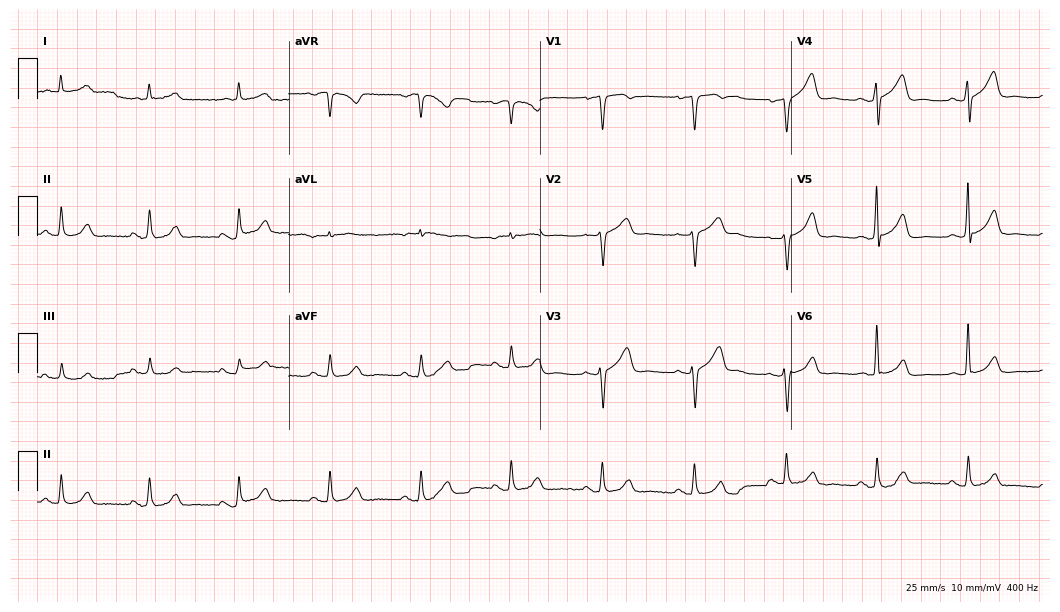
12-lead ECG from a man, 79 years old. Screened for six findings — first-degree AV block, right bundle branch block (RBBB), left bundle branch block (LBBB), sinus bradycardia, atrial fibrillation (AF), sinus tachycardia — none is recorded. Other findings, if any, are not listed.